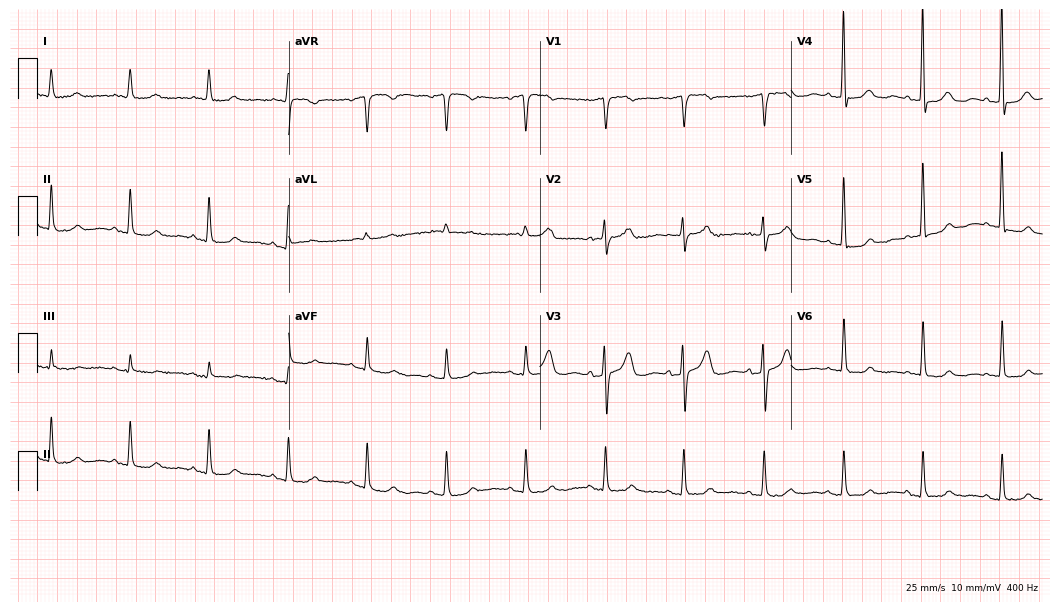
ECG (10.2-second recording at 400 Hz) — a woman, 81 years old. Screened for six findings — first-degree AV block, right bundle branch block, left bundle branch block, sinus bradycardia, atrial fibrillation, sinus tachycardia — none is recorded.